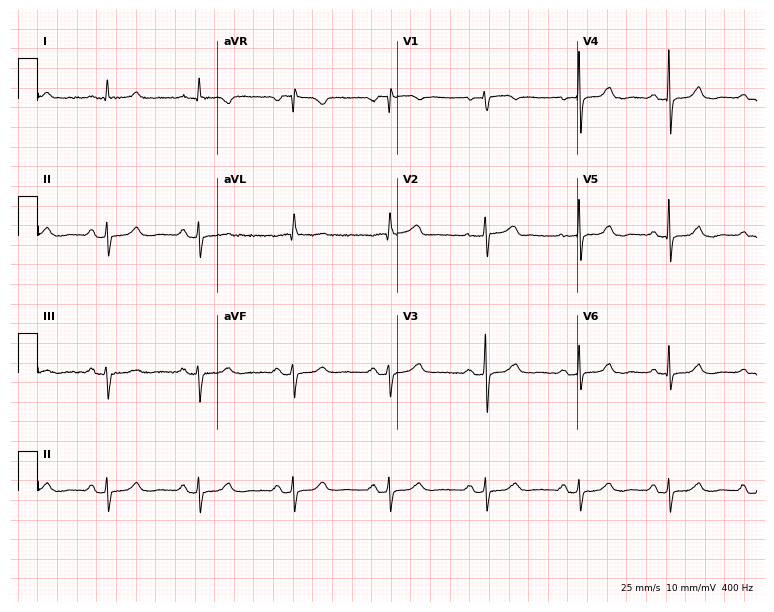
ECG (7.3-second recording at 400 Hz) — a 63-year-old woman. Screened for six findings — first-degree AV block, right bundle branch block, left bundle branch block, sinus bradycardia, atrial fibrillation, sinus tachycardia — none is recorded. Only these six findings were labelled.